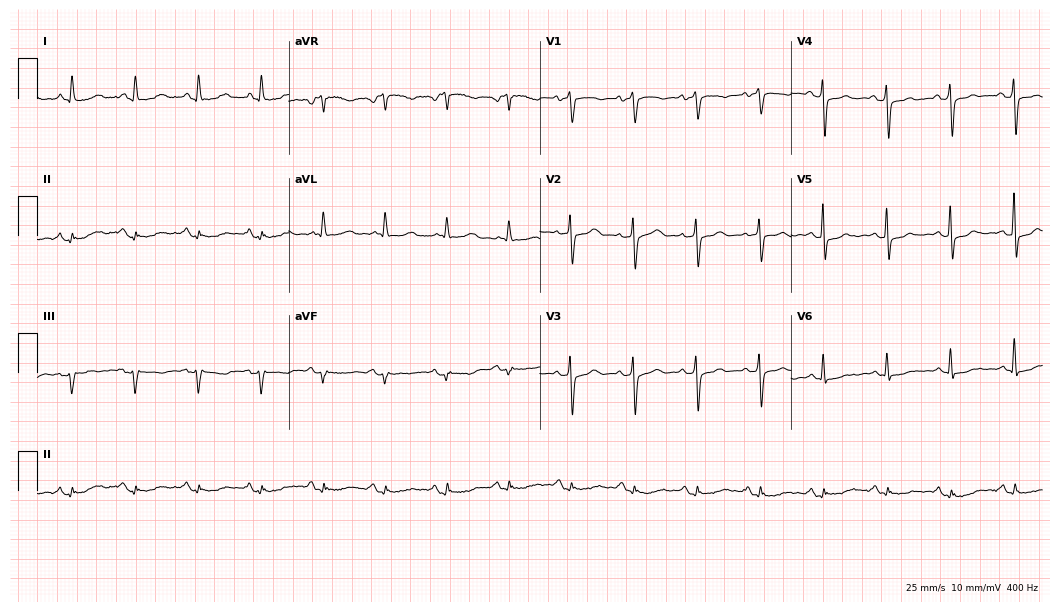
Standard 12-lead ECG recorded from a 73-year-old male patient (10.2-second recording at 400 Hz). None of these six findings is recorded: first-degree AV block, right bundle branch block (RBBB), left bundle branch block (LBBB), sinus bradycardia, atrial fibrillation (AF), sinus tachycardia.